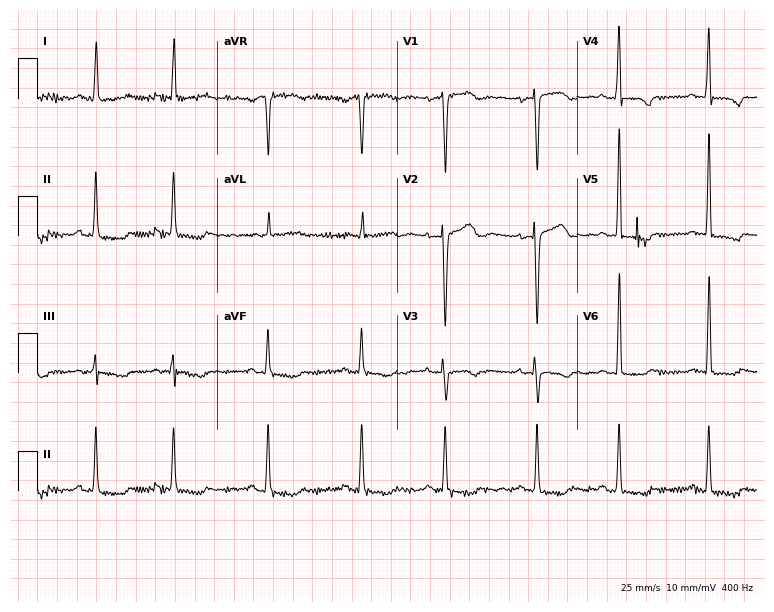
12-lead ECG (7.3-second recording at 400 Hz) from a 75-year-old woman. Screened for six findings — first-degree AV block, right bundle branch block (RBBB), left bundle branch block (LBBB), sinus bradycardia, atrial fibrillation (AF), sinus tachycardia — none is recorded. Only these six findings were labelled.